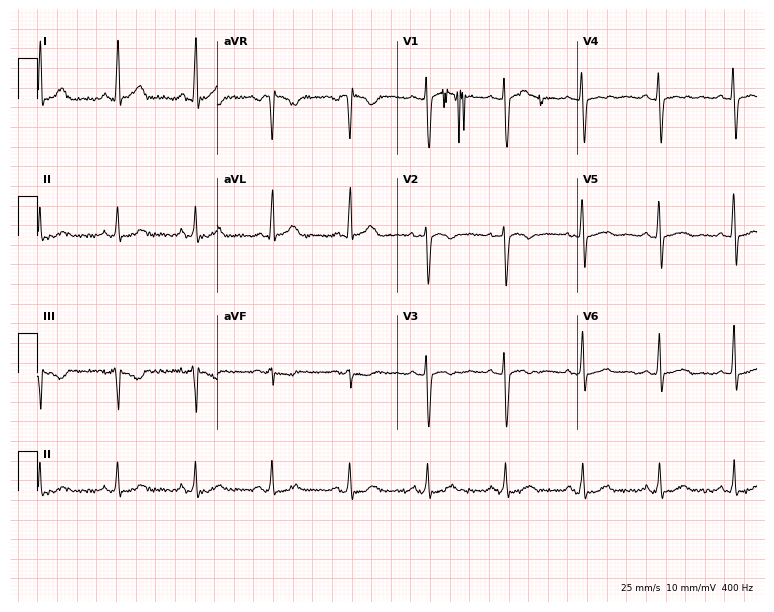
ECG — a 38-year-old woman. Labelled as a normal ECG.